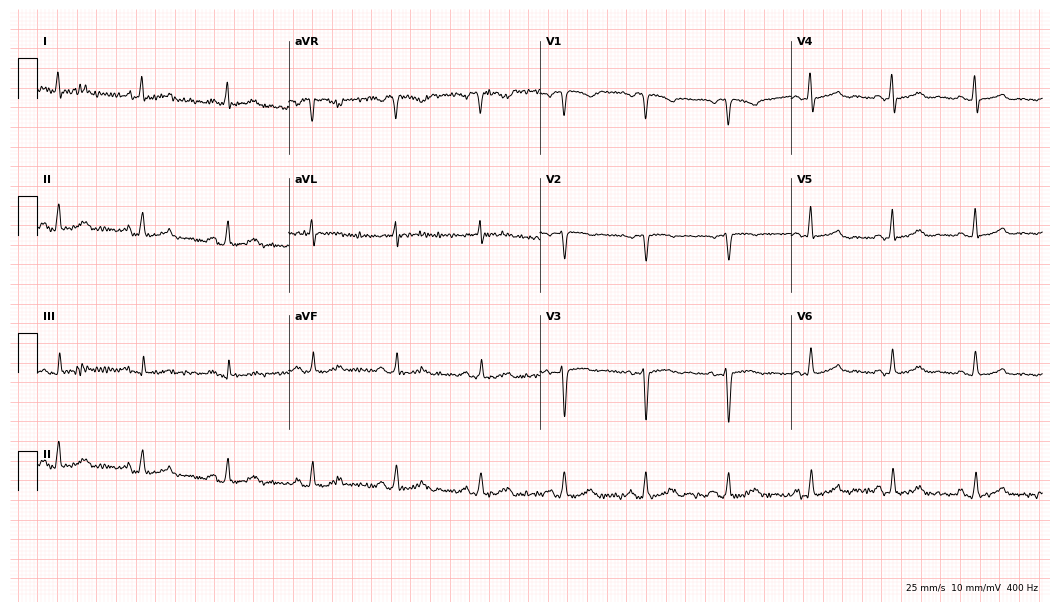
Electrocardiogram (10.2-second recording at 400 Hz), a 57-year-old woman. Of the six screened findings (first-degree AV block, right bundle branch block, left bundle branch block, sinus bradycardia, atrial fibrillation, sinus tachycardia), none is recorded.